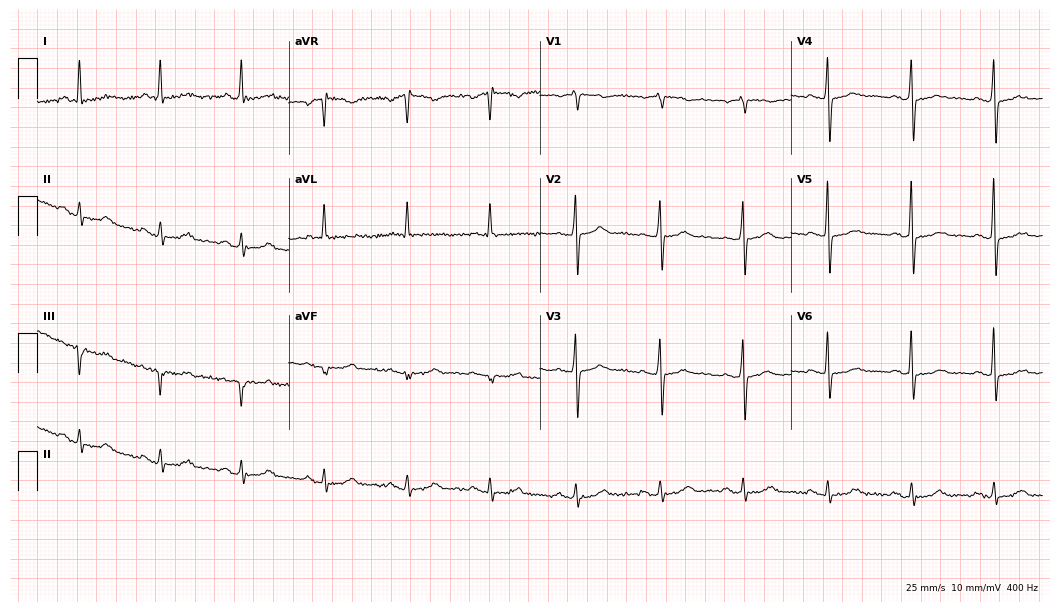
12-lead ECG from a 70-year-old female. Screened for six findings — first-degree AV block, right bundle branch block (RBBB), left bundle branch block (LBBB), sinus bradycardia, atrial fibrillation (AF), sinus tachycardia — none is recorded.